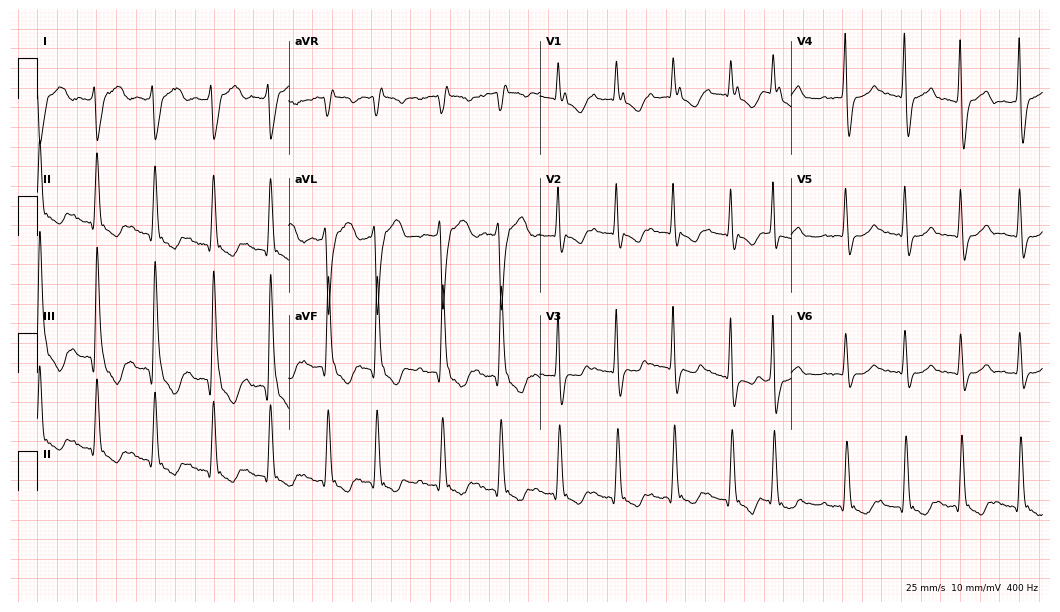
12-lead ECG from a male, 82 years old. Shows right bundle branch block.